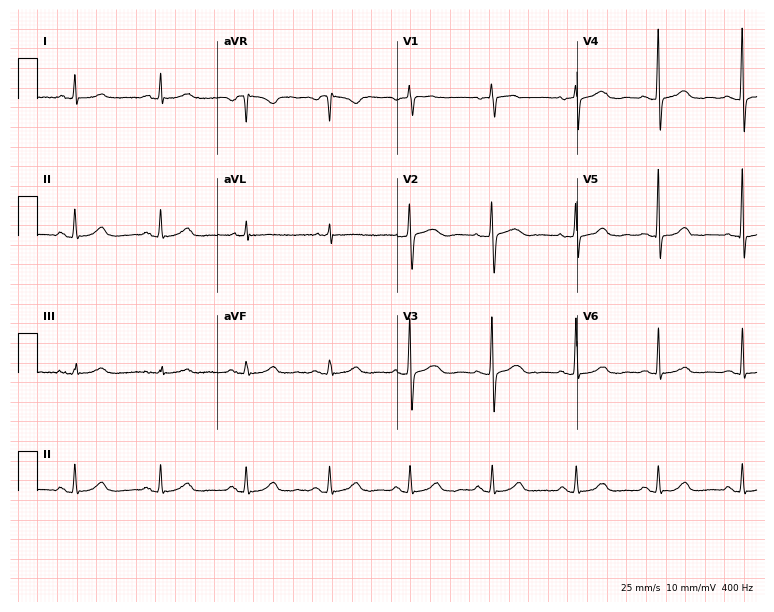
12-lead ECG from a 65-year-old female patient. Labelled as a normal ECG.